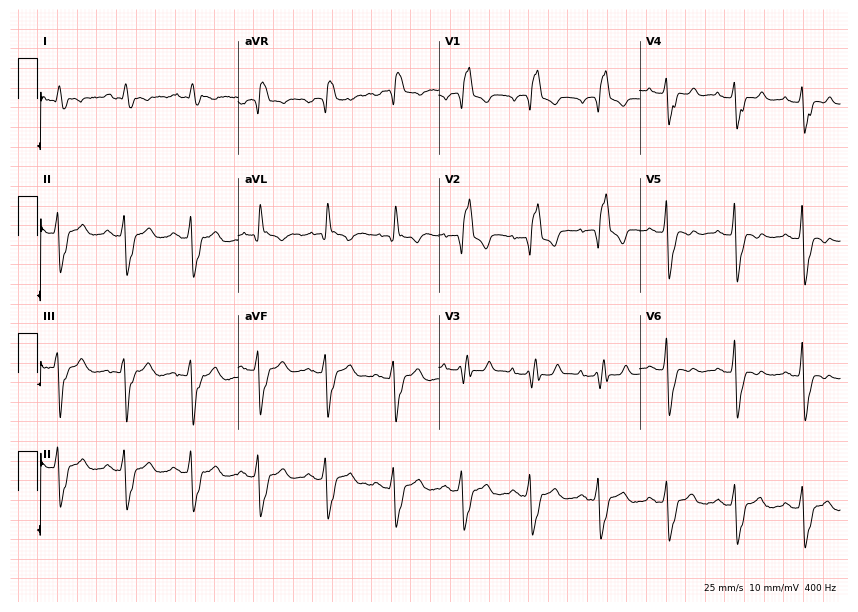
12-lead ECG from a 61-year-old male patient. Shows right bundle branch block (RBBB).